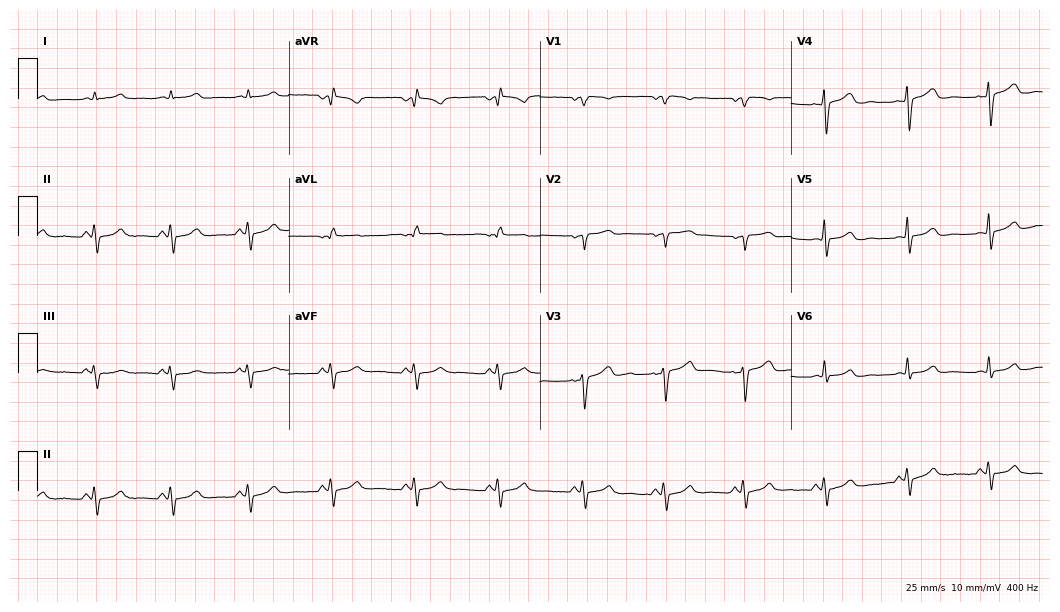
12-lead ECG (10.2-second recording at 400 Hz) from a male patient, 49 years old. Screened for six findings — first-degree AV block, right bundle branch block, left bundle branch block, sinus bradycardia, atrial fibrillation, sinus tachycardia — none is recorded. Only these six findings were labelled.